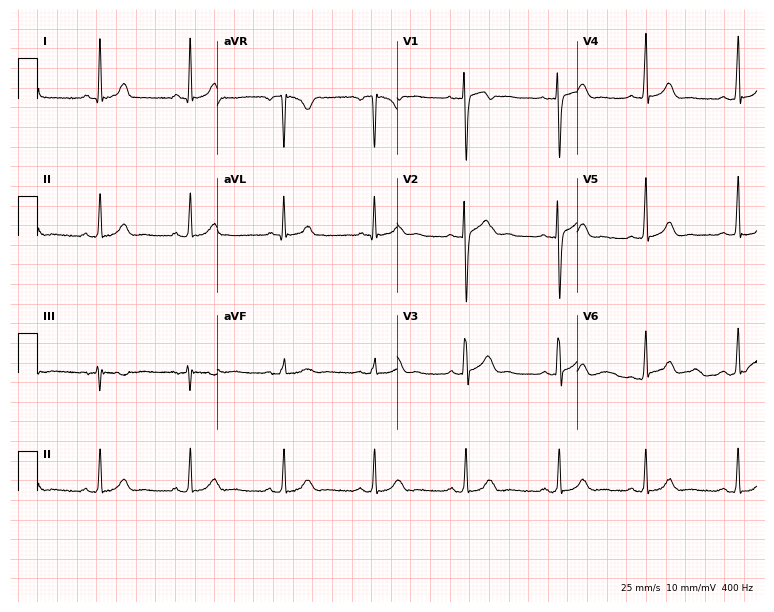
Electrocardiogram (7.3-second recording at 400 Hz), a 37-year-old female. Overall reading on record: normal ECG.